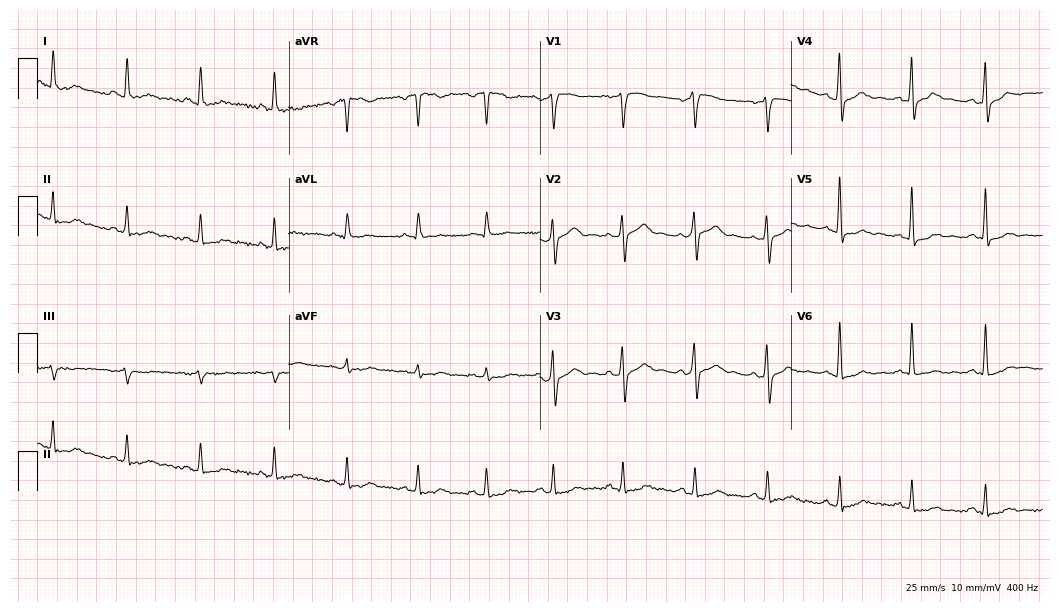
12-lead ECG from a 67-year-old man (10.2-second recording at 400 Hz). No first-degree AV block, right bundle branch block, left bundle branch block, sinus bradycardia, atrial fibrillation or sinus tachycardia recorded for this tracing. Findings outside these six are not listed.